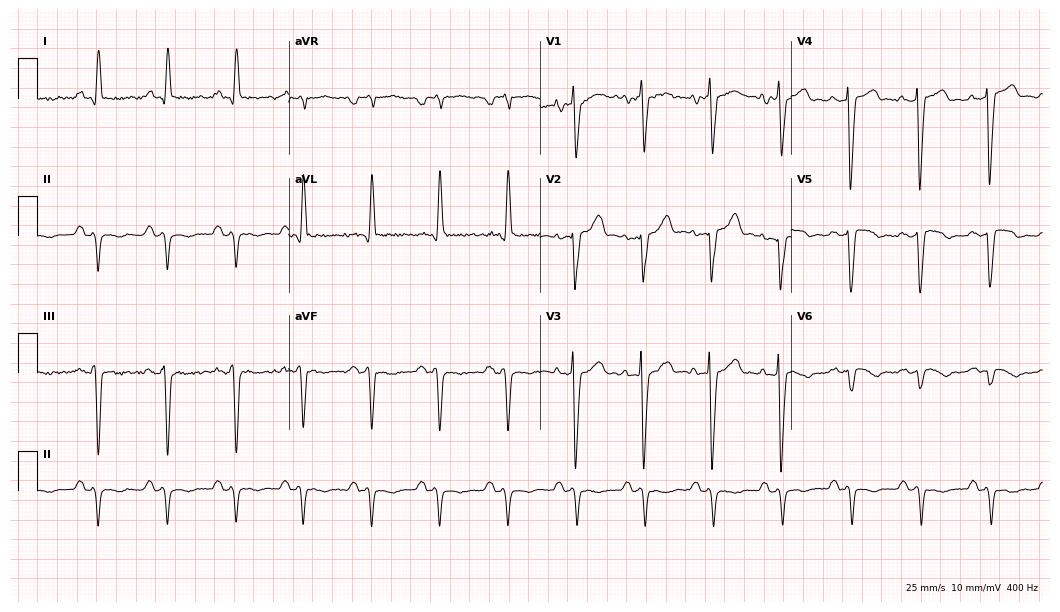
Standard 12-lead ECG recorded from a male, 20 years old. None of these six findings is recorded: first-degree AV block, right bundle branch block, left bundle branch block, sinus bradycardia, atrial fibrillation, sinus tachycardia.